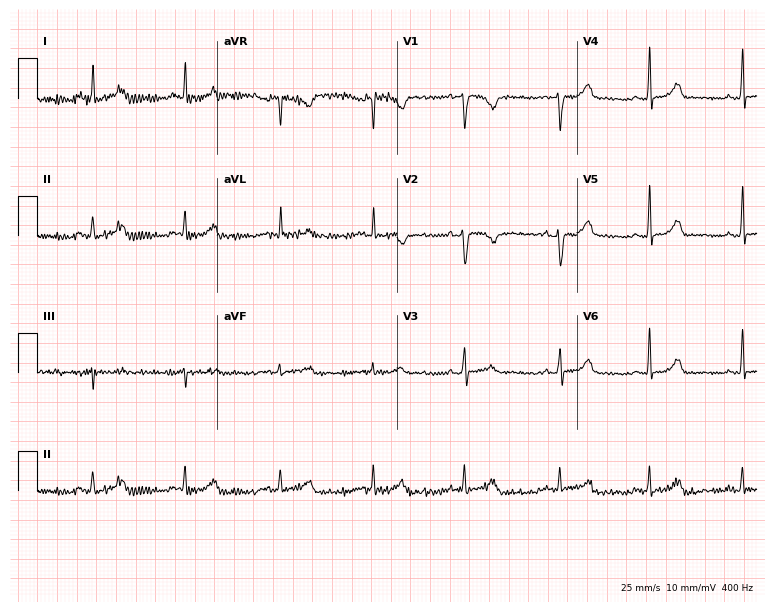
12-lead ECG (7.3-second recording at 400 Hz) from a female patient, 28 years old. Screened for six findings — first-degree AV block, right bundle branch block, left bundle branch block, sinus bradycardia, atrial fibrillation, sinus tachycardia — none is recorded. Findings outside these six are not listed.